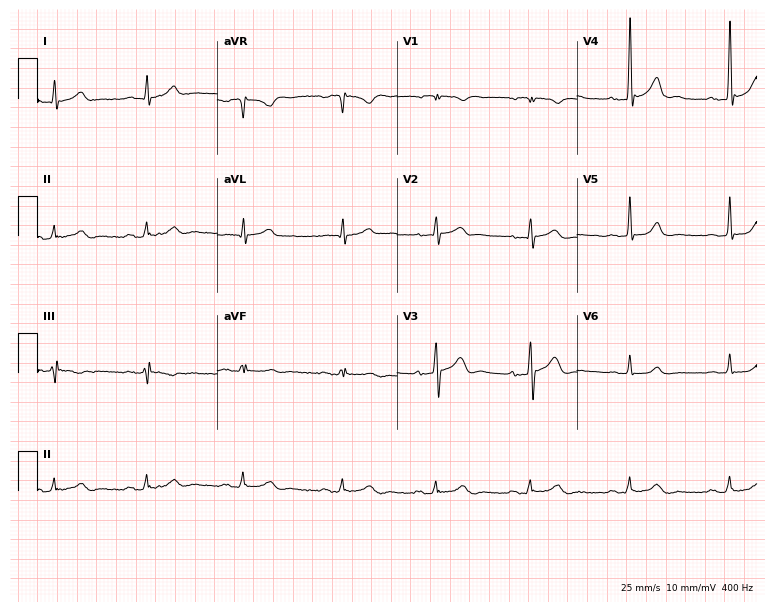
12-lead ECG from a man, 44 years old. No first-degree AV block, right bundle branch block (RBBB), left bundle branch block (LBBB), sinus bradycardia, atrial fibrillation (AF) or sinus tachycardia recorded for this tracing. Findings outside these six are not listed.